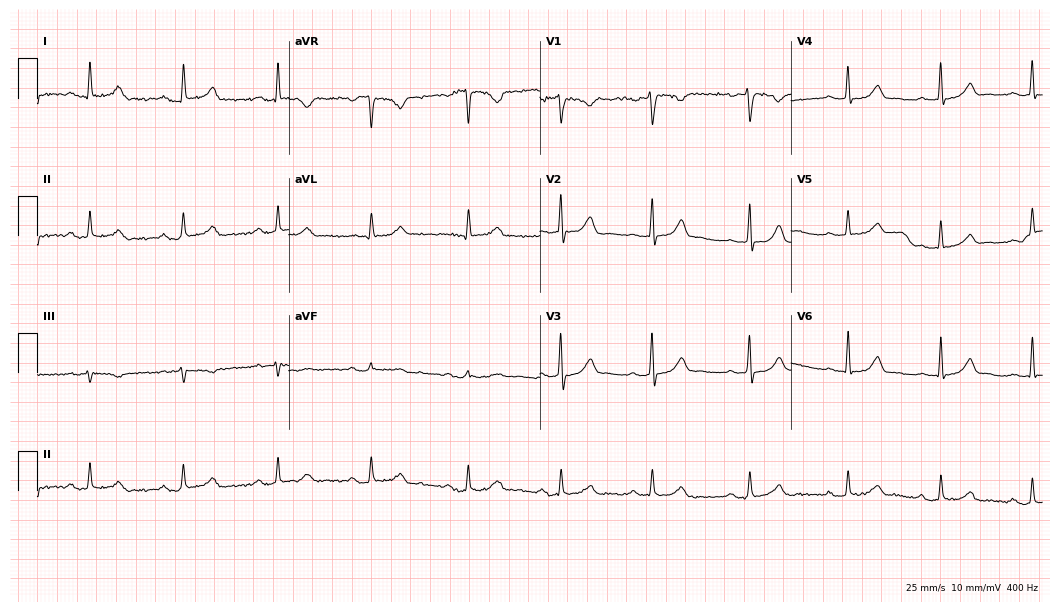
ECG — a 48-year-old female. Labelled as a normal ECG.